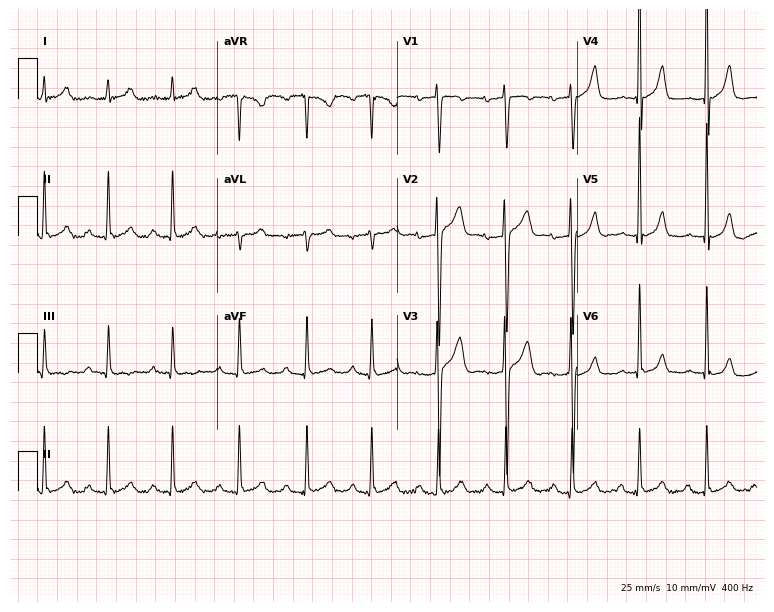
Standard 12-lead ECG recorded from a 20-year-old male patient. The tracing shows first-degree AV block.